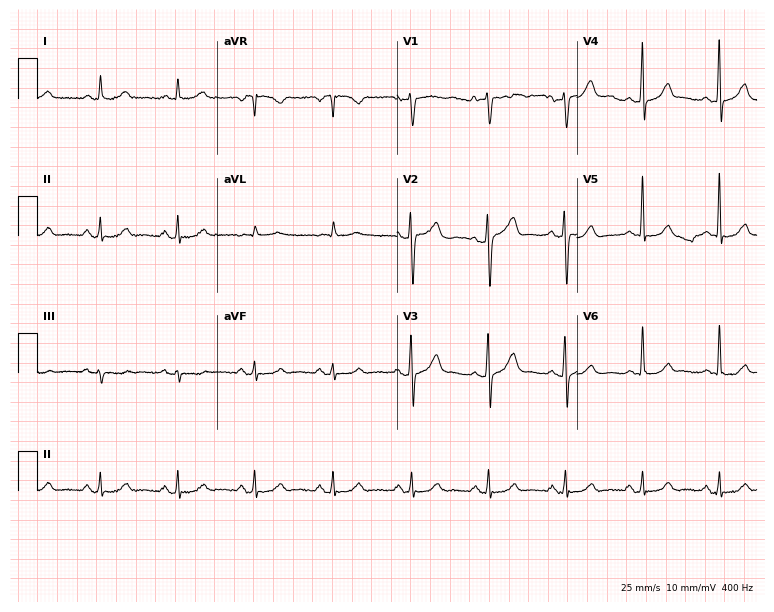
12-lead ECG (7.3-second recording at 400 Hz) from a male, 51 years old. Labelled as a normal ECG.